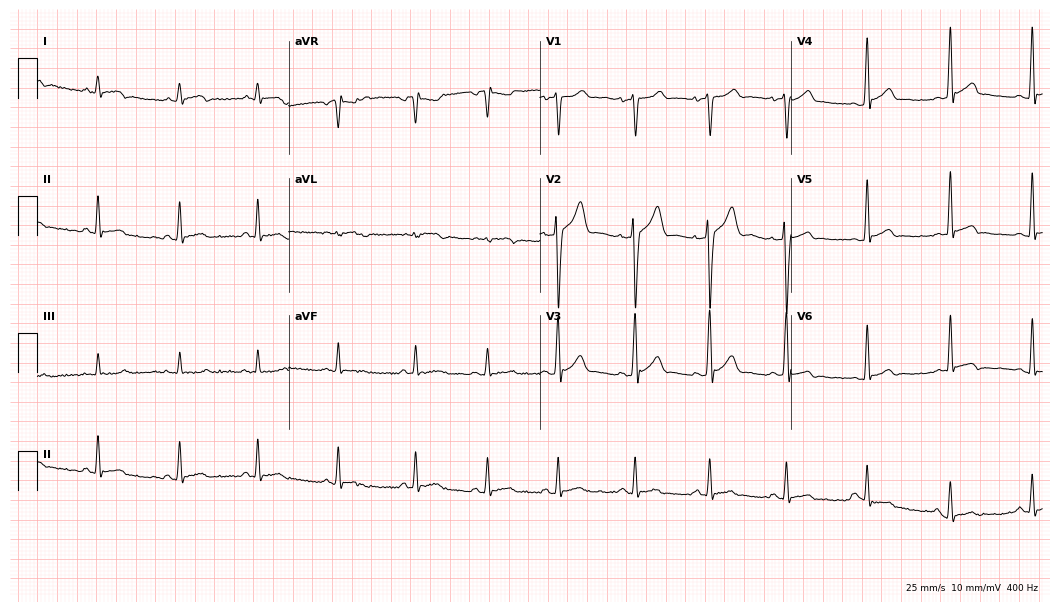
12-lead ECG from a 22-year-old male. Labelled as a normal ECG.